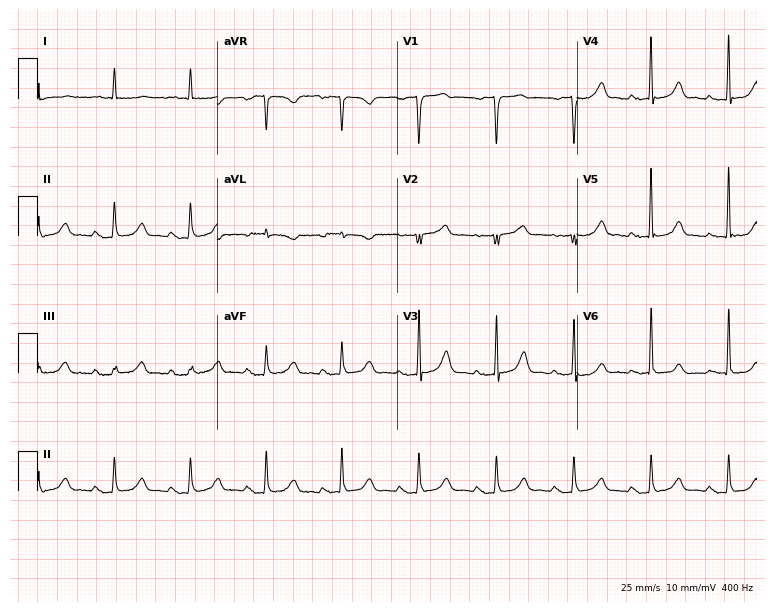
Resting 12-lead electrocardiogram (7.3-second recording at 400 Hz). Patient: a male, 79 years old. Read as a normal ECG.